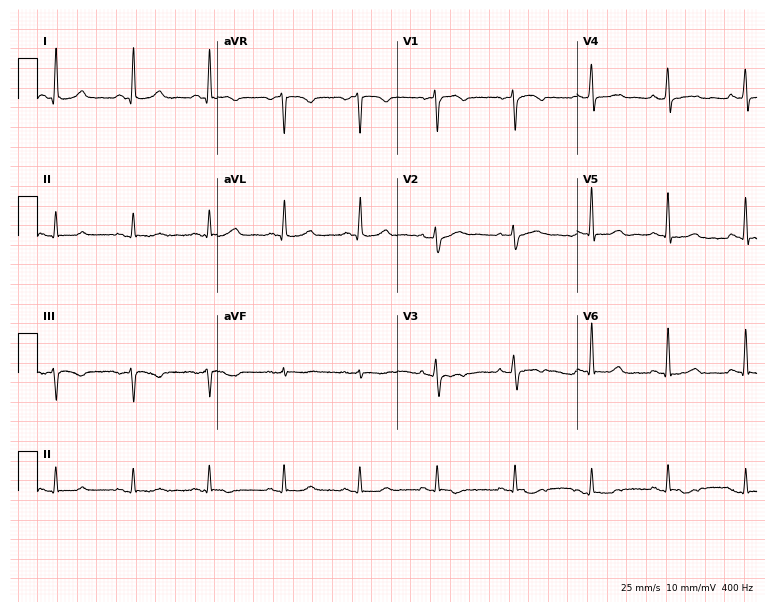
Resting 12-lead electrocardiogram. Patient: a 56-year-old woman. None of these six findings is recorded: first-degree AV block, right bundle branch block, left bundle branch block, sinus bradycardia, atrial fibrillation, sinus tachycardia. Other findings, if any, are not listed.